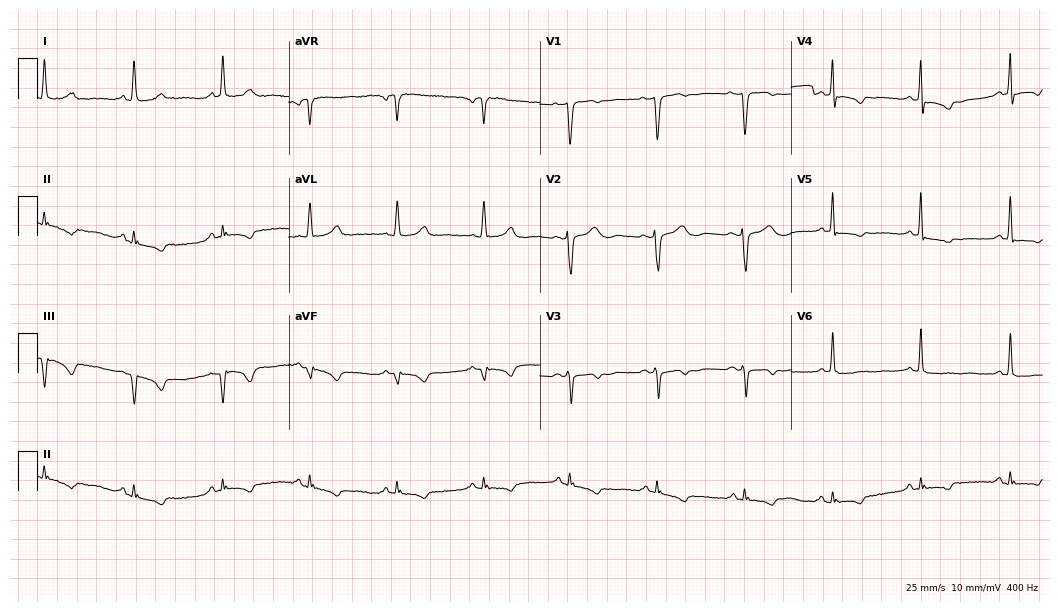
Electrocardiogram (10.2-second recording at 400 Hz), a 78-year-old female. Of the six screened findings (first-degree AV block, right bundle branch block, left bundle branch block, sinus bradycardia, atrial fibrillation, sinus tachycardia), none is recorded.